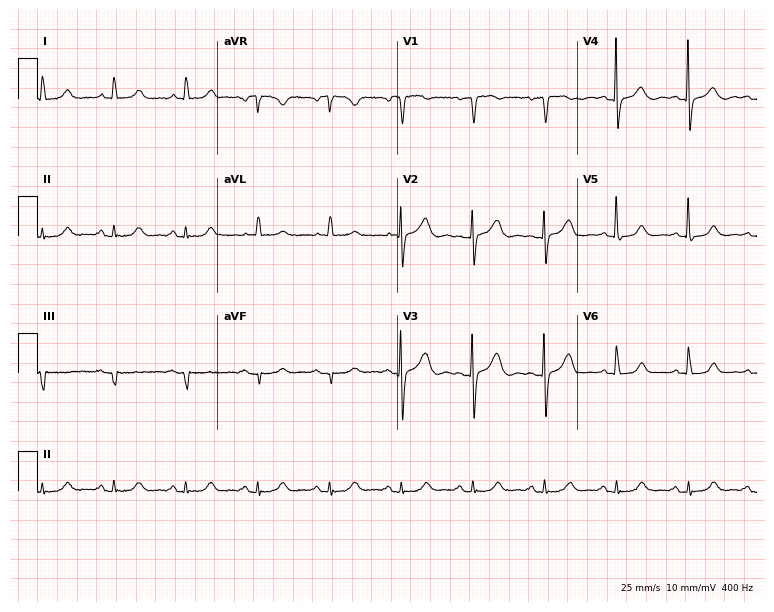
Electrocardiogram (7.3-second recording at 400 Hz), a 72-year-old woman. Of the six screened findings (first-degree AV block, right bundle branch block, left bundle branch block, sinus bradycardia, atrial fibrillation, sinus tachycardia), none is recorded. Findings outside these six are not listed.